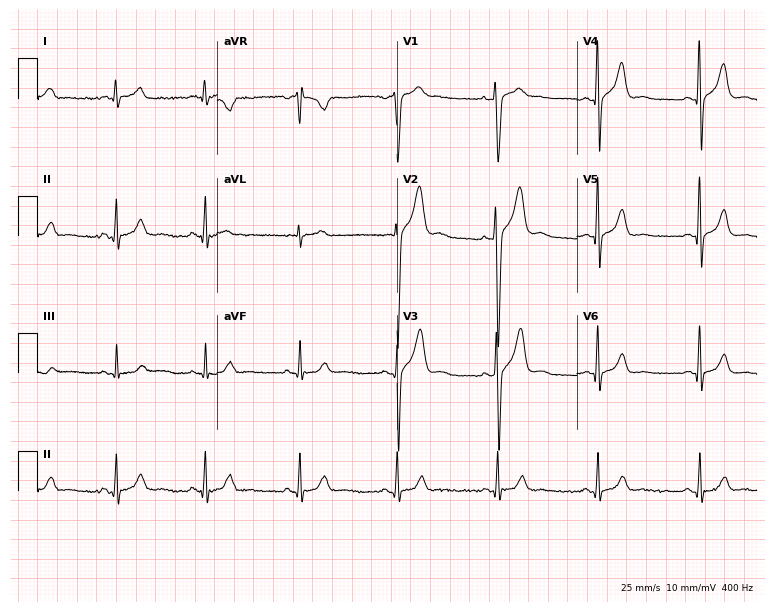
Resting 12-lead electrocardiogram (7.3-second recording at 400 Hz). Patient: a 27-year-old male. None of these six findings is recorded: first-degree AV block, right bundle branch block, left bundle branch block, sinus bradycardia, atrial fibrillation, sinus tachycardia. Other findings, if any, are not listed.